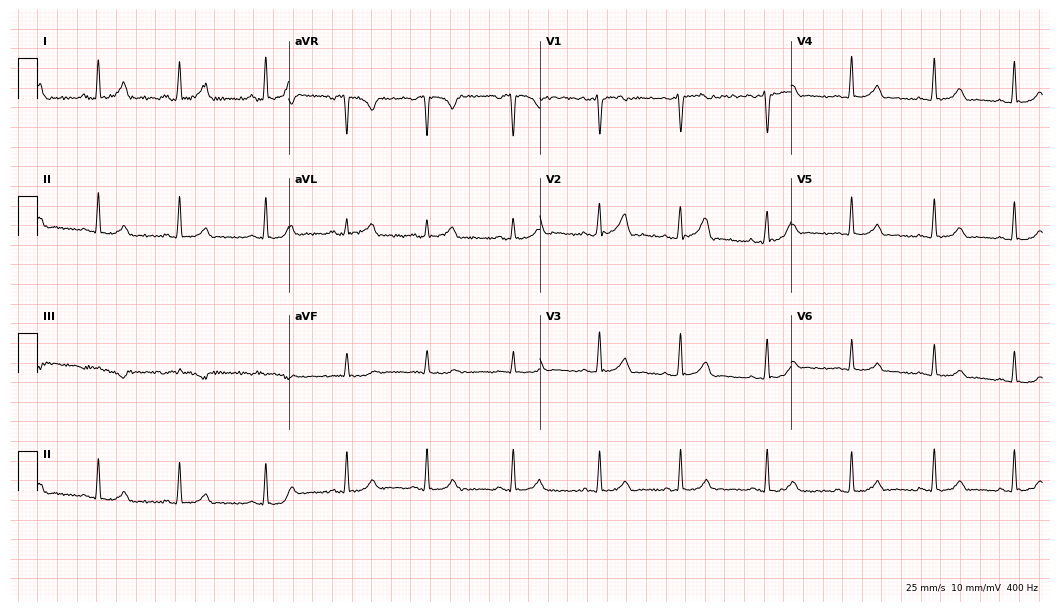
Resting 12-lead electrocardiogram. Patient: a 25-year-old woman. Read as a normal ECG.